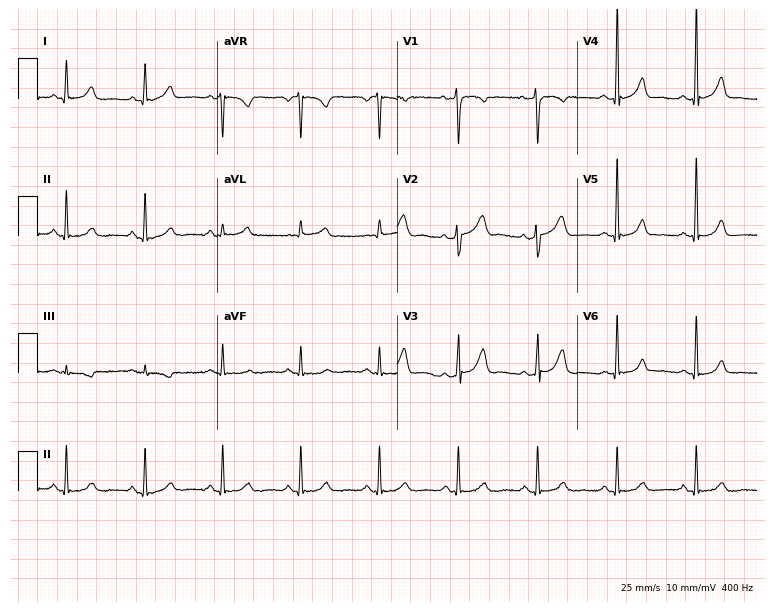
Standard 12-lead ECG recorded from a 47-year-old woman. Read as a normal ECG.